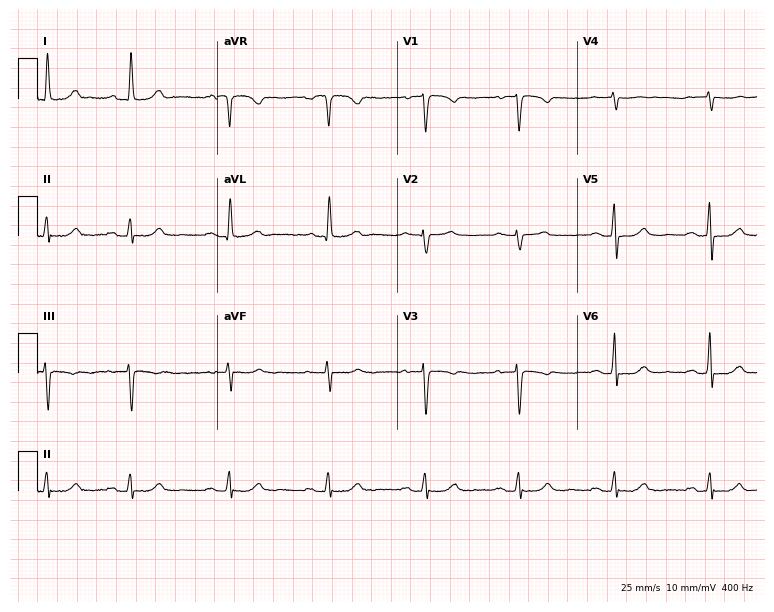
Standard 12-lead ECG recorded from a female, 76 years old. None of these six findings is recorded: first-degree AV block, right bundle branch block (RBBB), left bundle branch block (LBBB), sinus bradycardia, atrial fibrillation (AF), sinus tachycardia.